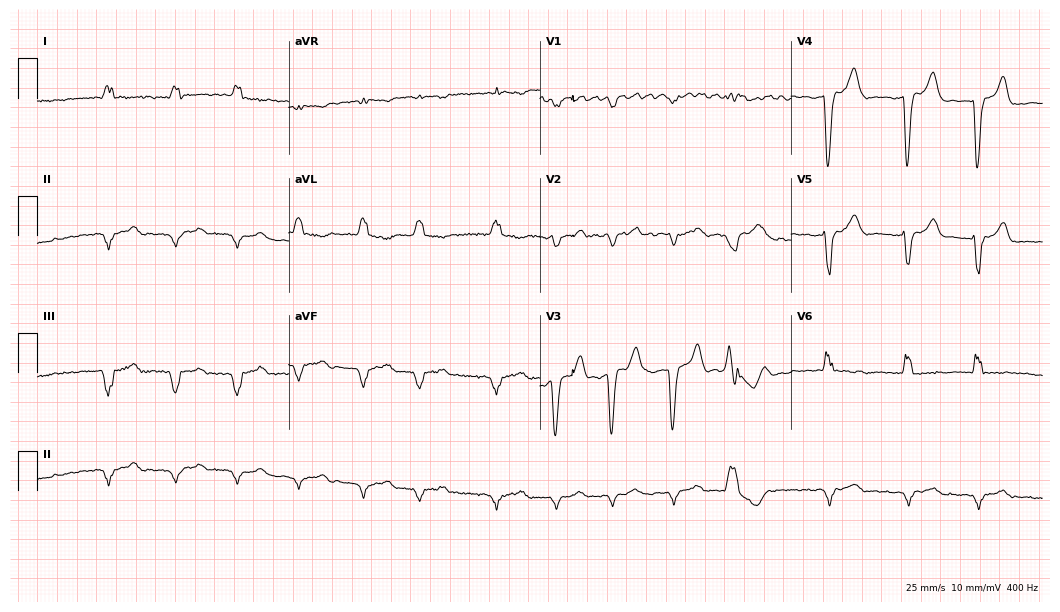
Standard 12-lead ECG recorded from a man, 71 years old (10.2-second recording at 400 Hz). None of these six findings is recorded: first-degree AV block, right bundle branch block (RBBB), left bundle branch block (LBBB), sinus bradycardia, atrial fibrillation (AF), sinus tachycardia. Other findings, if any, are not listed.